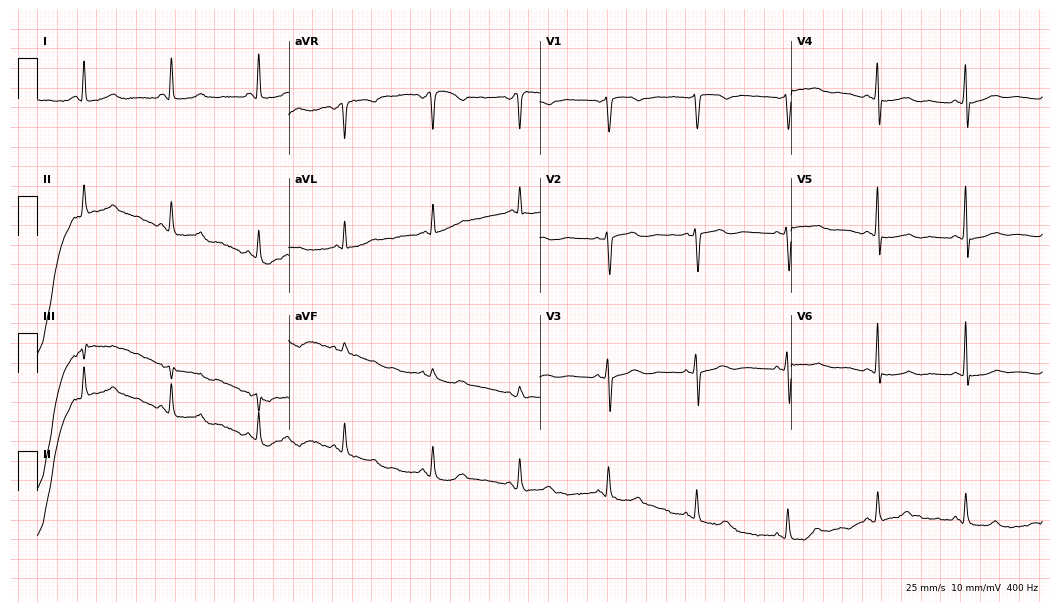
Standard 12-lead ECG recorded from a female, 67 years old (10.2-second recording at 400 Hz). Read as a normal ECG.